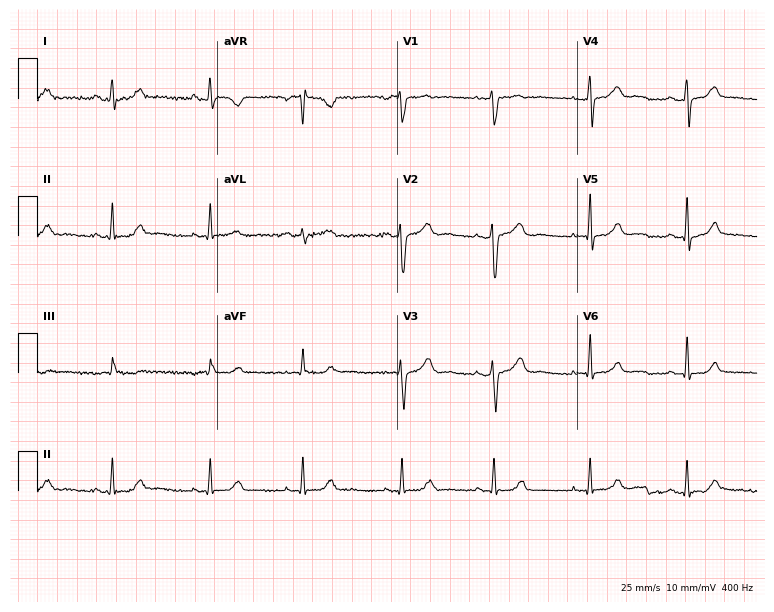
Resting 12-lead electrocardiogram (7.3-second recording at 400 Hz). Patient: a 36-year-old woman. None of these six findings is recorded: first-degree AV block, right bundle branch block, left bundle branch block, sinus bradycardia, atrial fibrillation, sinus tachycardia. Other findings, if any, are not listed.